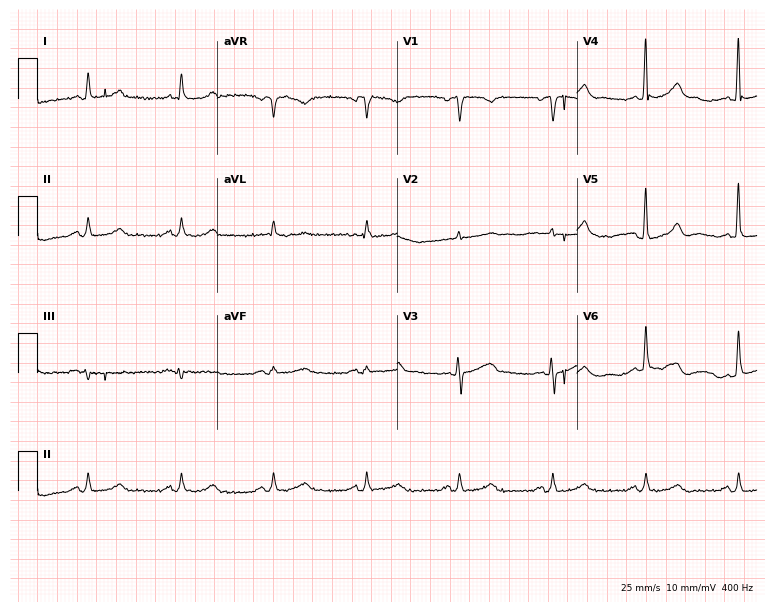
Standard 12-lead ECG recorded from a 71-year-old man (7.3-second recording at 400 Hz). Read as a normal ECG.